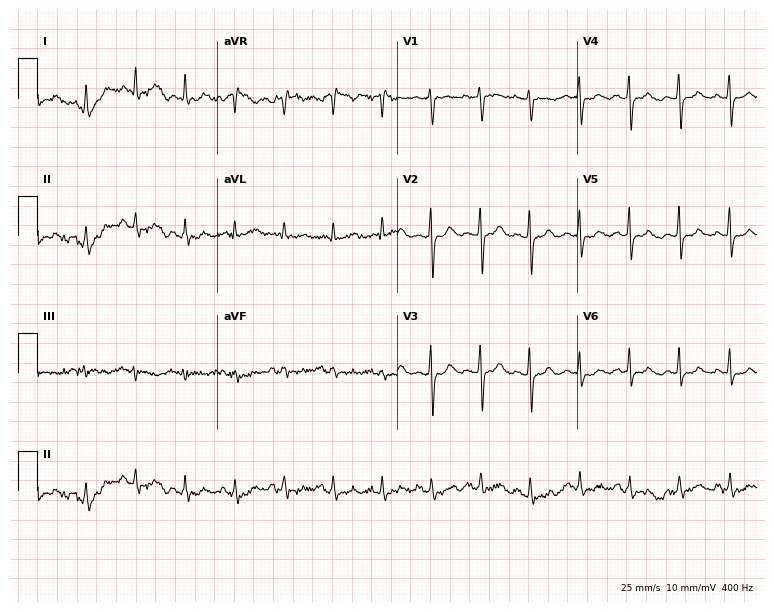
ECG — a 32-year-old female. Findings include sinus tachycardia (a sinus rate of 100 beats per minute or more).